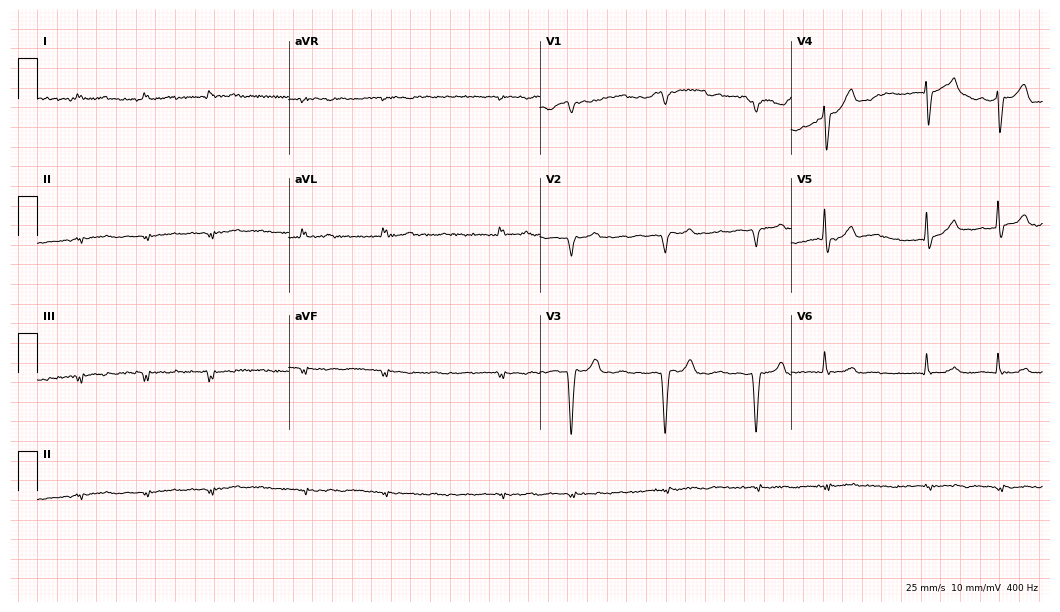
12-lead ECG (10.2-second recording at 400 Hz) from a 79-year-old male patient. Screened for six findings — first-degree AV block, right bundle branch block, left bundle branch block, sinus bradycardia, atrial fibrillation, sinus tachycardia — none is recorded. Other findings, if any, are not listed.